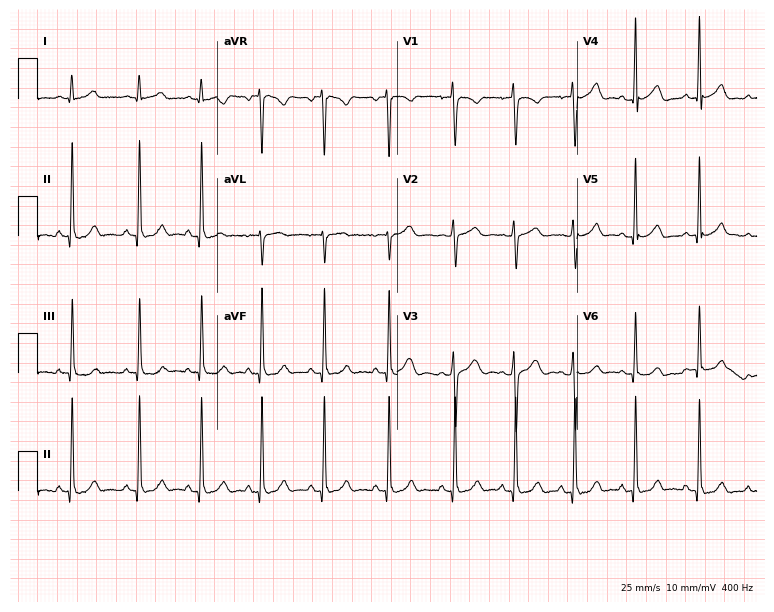
Resting 12-lead electrocardiogram. Patient: a woman, 18 years old. Read as a normal ECG.